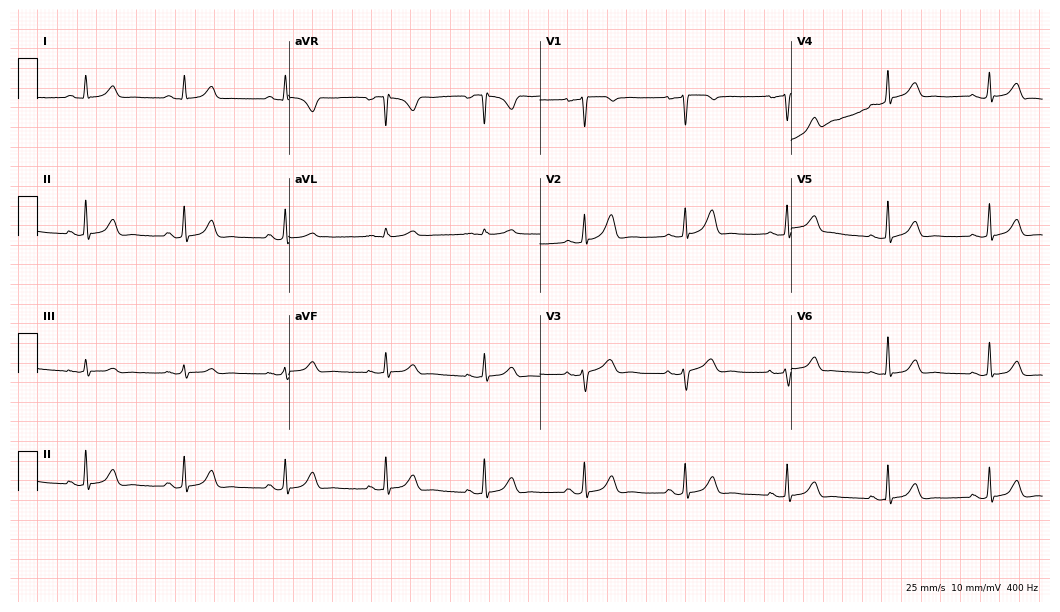
Standard 12-lead ECG recorded from a female, 51 years old. Read as a normal ECG.